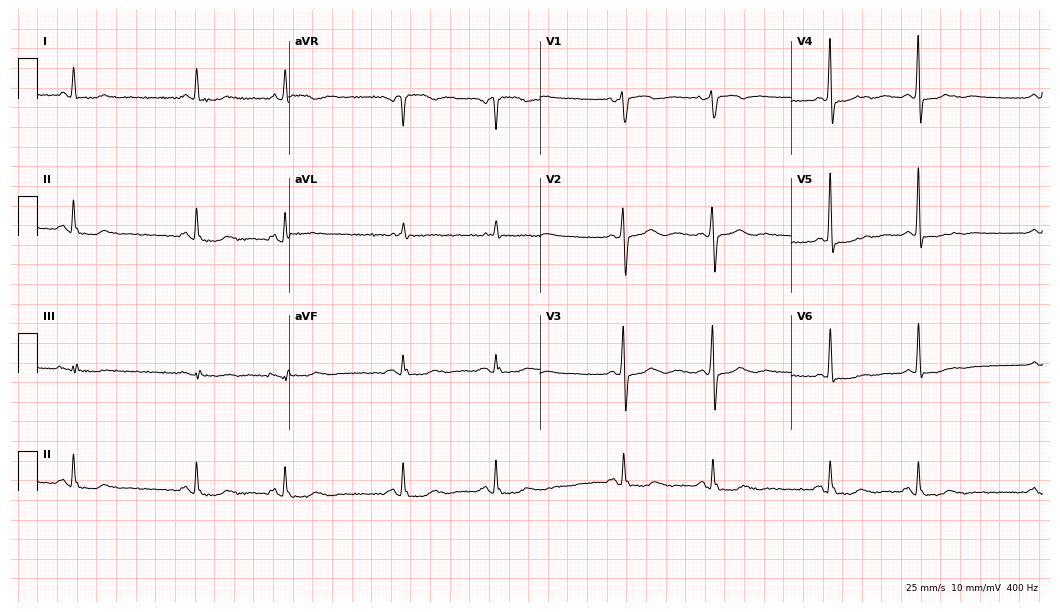
Resting 12-lead electrocardiogram. Patient: an 82-year-old male. None of these six findings is recorded: first-degree AV block, right bundle branch block, left bundle branch block, sinus bradycardia, atrial fibrillation, sinus tachycardia.